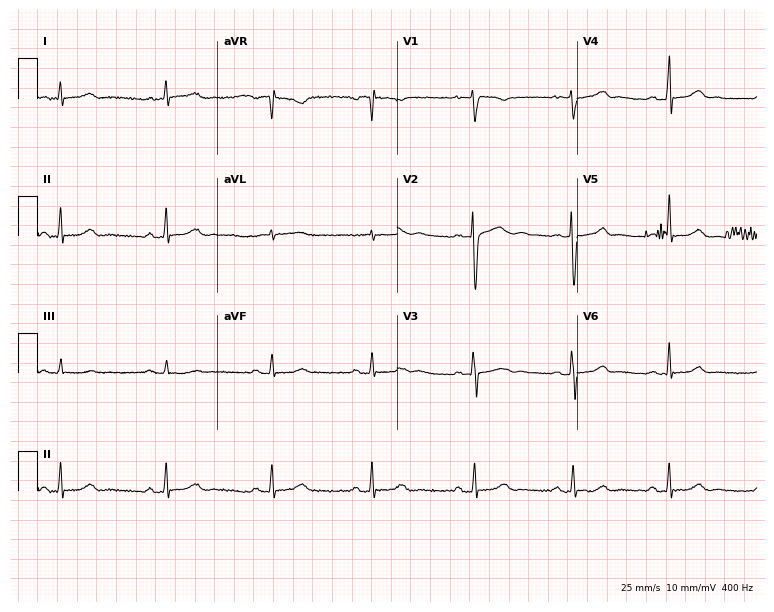
ECG — a female, 22 years old. Labelled as a normal ECG.